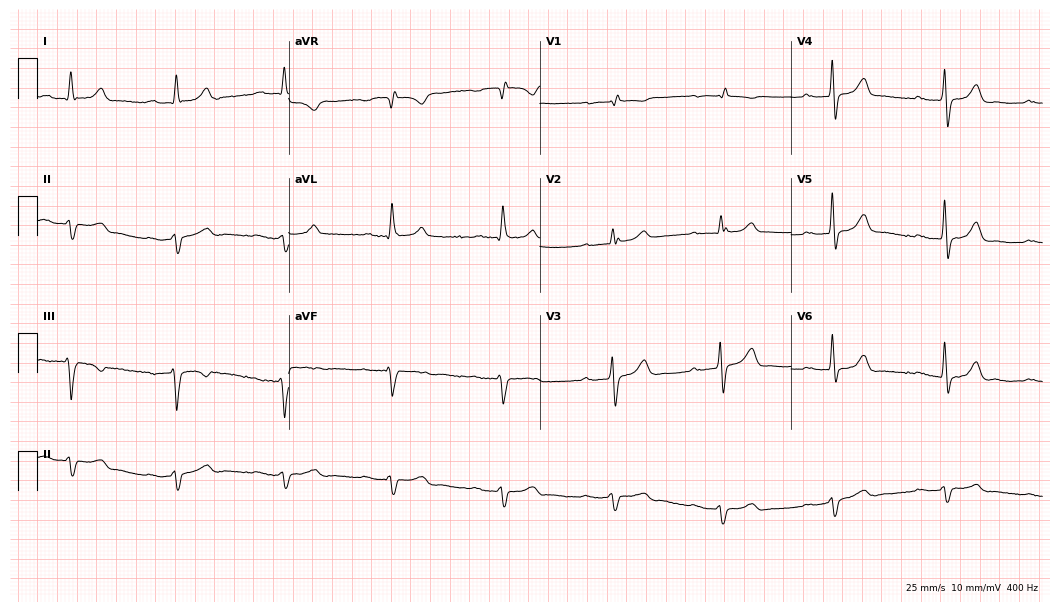
12-lead ECG from an 82-year-old male. Shows first-degree AV block.